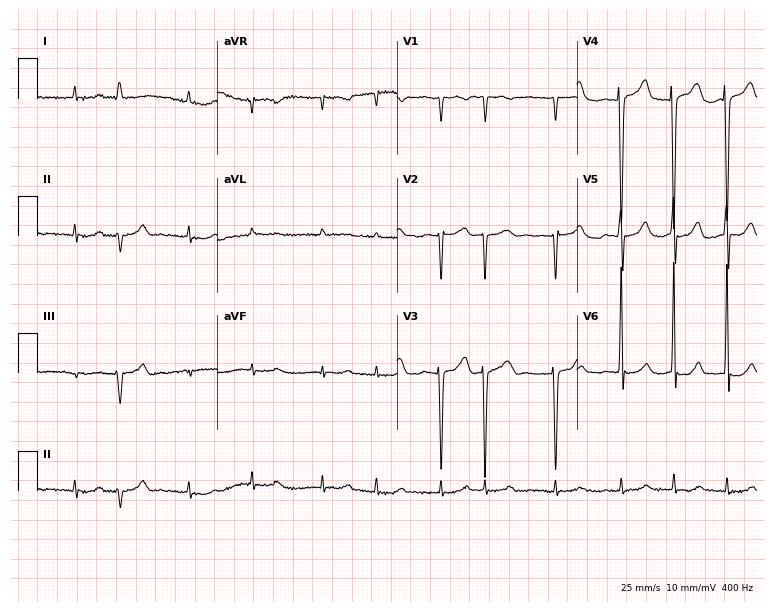
Standard 12-lead ECG recorded from a man, 79 years old. The tracing shows atrial fibrillation (AF).